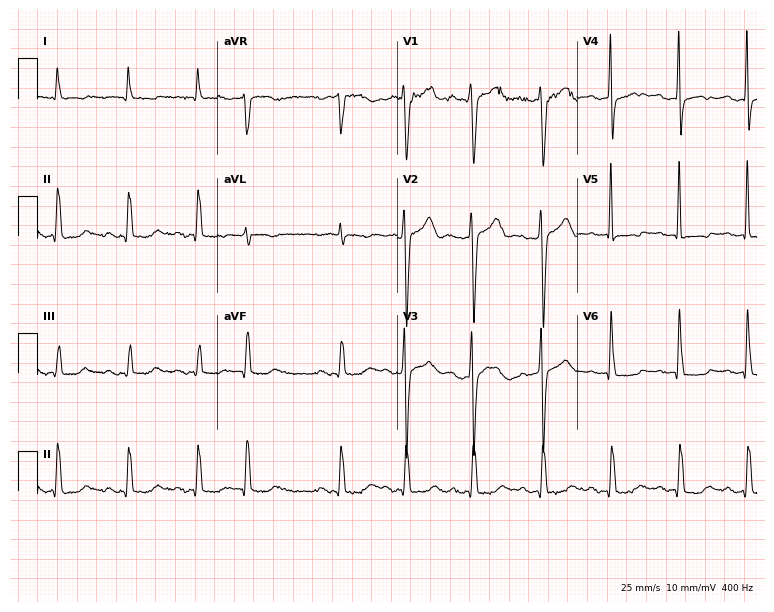
12-lead ECG (7.3-second recording at 400 Hz) from a male patient, 81 years old. Screened for six findings — first-degree AV block, right bundle branch block (RBBB), left bundle branch block (LBBB), sinus bradycardia, atrial fibrillation (AF), sinus tachycardia — none is recorded.